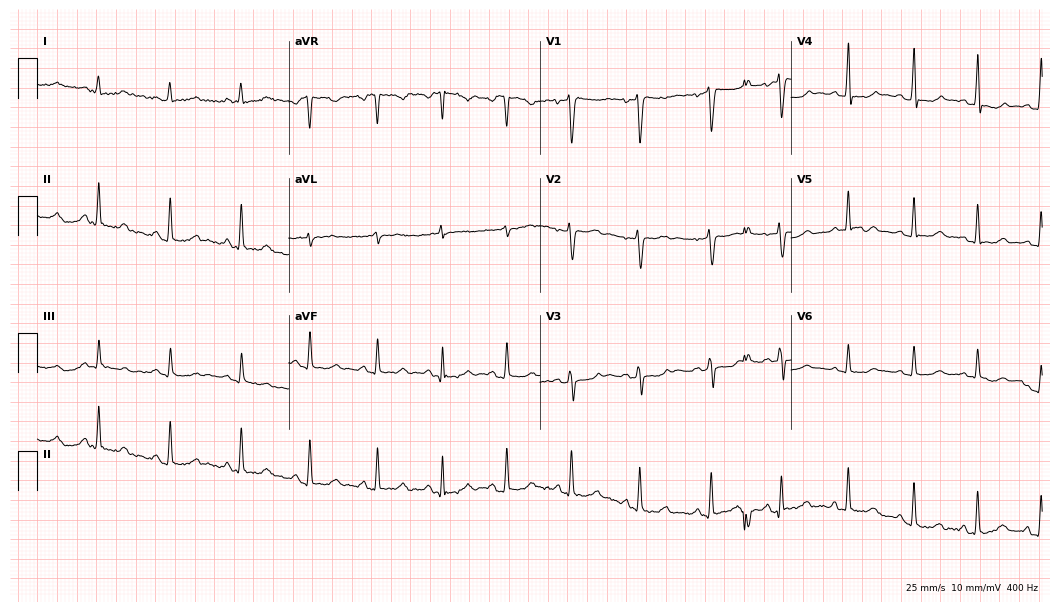
12-lead ECG from a woman, 25 years old. Screened for six findings — first-degree AV block, right bundle branch block (RBBB), left bundle branch block (LBBB), sinus bradycardia, atrial fibrillation (AF), sinus tachycardia — none is recorded. Only these six findings were labelled.